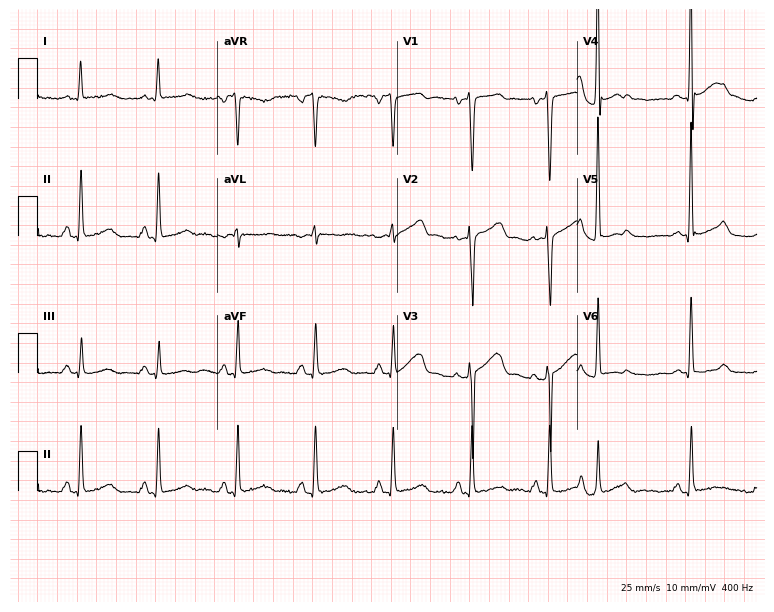
Standard 12-lead ECG recorded from a male, 50 years old. None of these six findings is recorded: first-degree AV block, right bundle branch block, left bundle branch block, sinus bradycardia, atrial fibrillation, sinus tachycardia. Only these six findings were labelled.